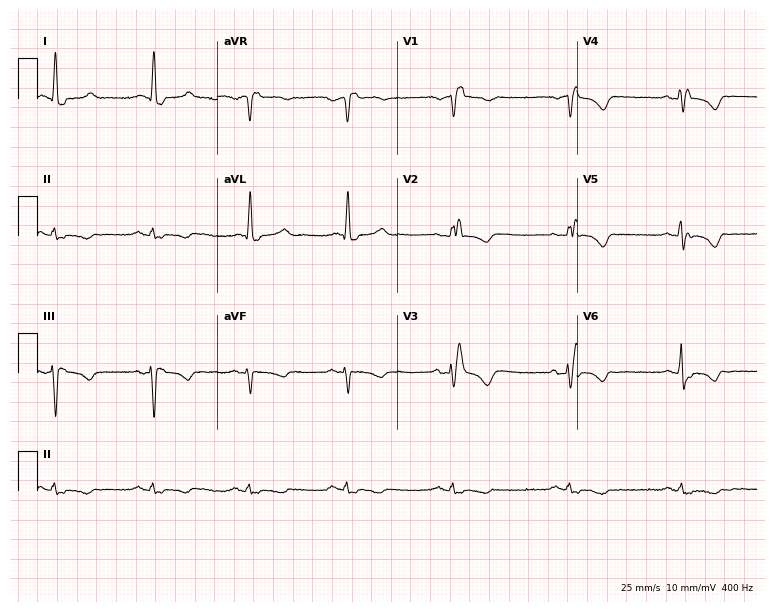
12-lead ECG from a 66-year-old woman. Findings include right bundle branch block.